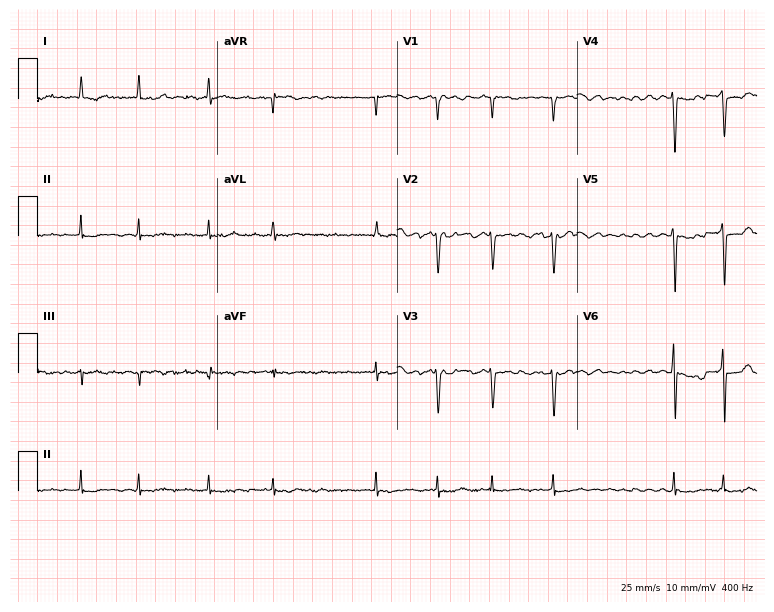
Resting 12-lead electrocardiogram (7.3-second recording at 400 Hz). Patient: a 78-year-old female. The tracing shows atrial fibrillation.